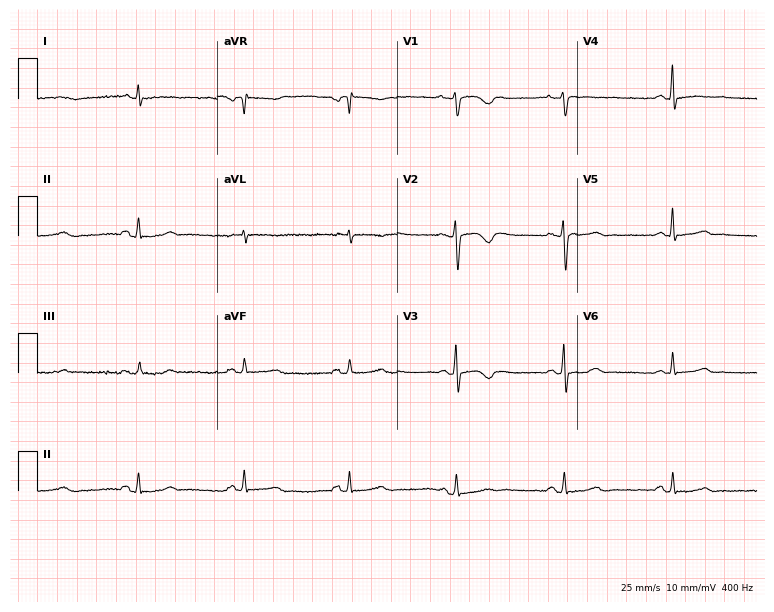
12-lead ECG (7.3-second recording at 400 Hz) from a female patient, 31 years old. Labelled as a normal ECG.